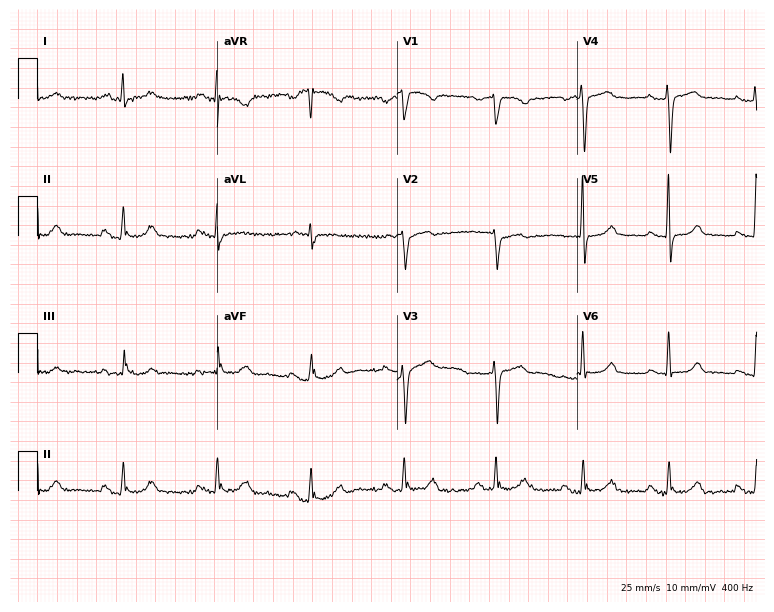
Electrocardiogram, a woman, 59 years old. Of the six screened findings (first-degree AV block, right bundle branch block (RBBB), left bundle branch block (LBBB), sinus bradycardia, atrial fibrillation (AF), sinus tachycardia), none is recorded. Only these six findings were labelled.